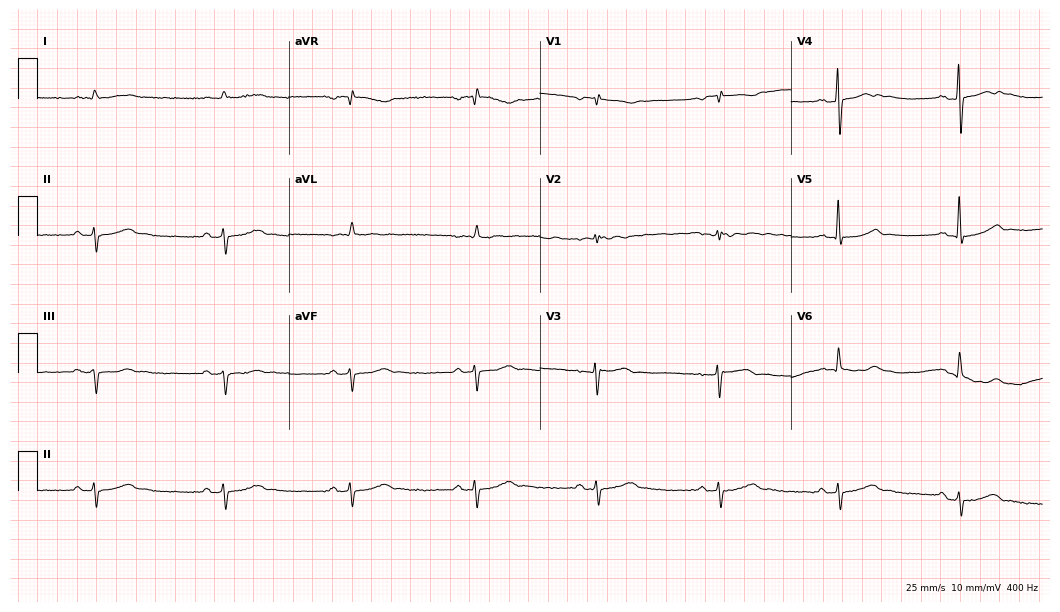
12-lead ECG (10.2-second recording at 400 Hz) from a man, 76 years old. Screened for six findings — first-degree AV block, right bundle branch block (RBBB), left bundle branch block (LBBB), sinus bradycardia, atrial fibrillation (AF), sinus tachycardia — none is recorded.